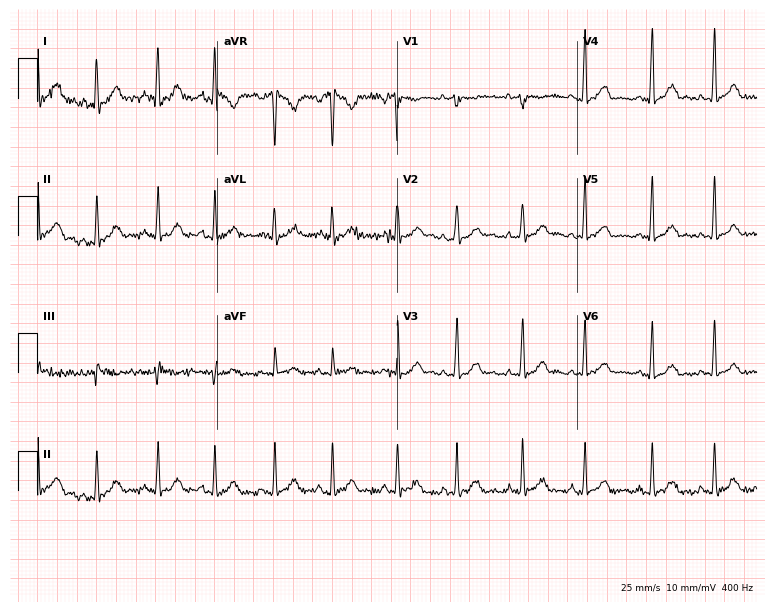
12-lead ECG from a 32-year-old female. Labelled as a normal ECG.